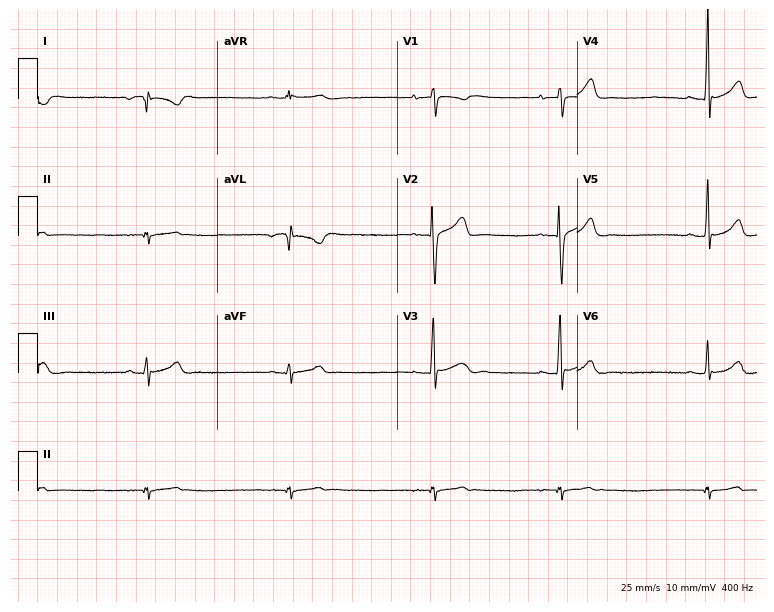
12-lead ECG from a man, 17 years old. Screened for six findings — first-degree AV block, right bundle branch block, left bundle branch block, sinus bradycardia, atrial fibrillation, sinus tachycardia — none is recorded. Only these six findings were labelled.